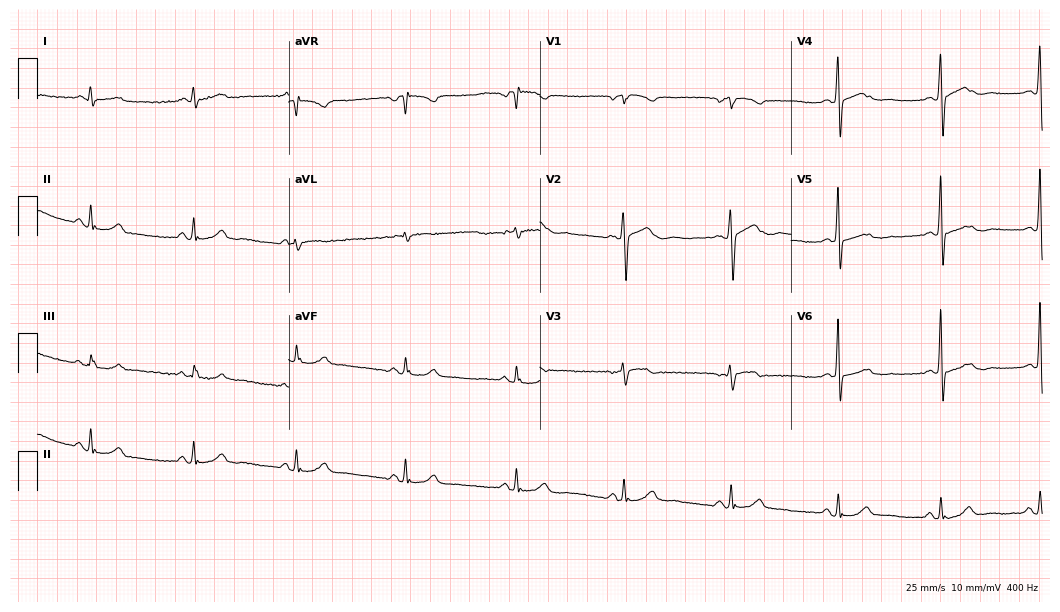
Standard 12-lead ECG recorded from a 44-year-old female. Read as a normal ECG.